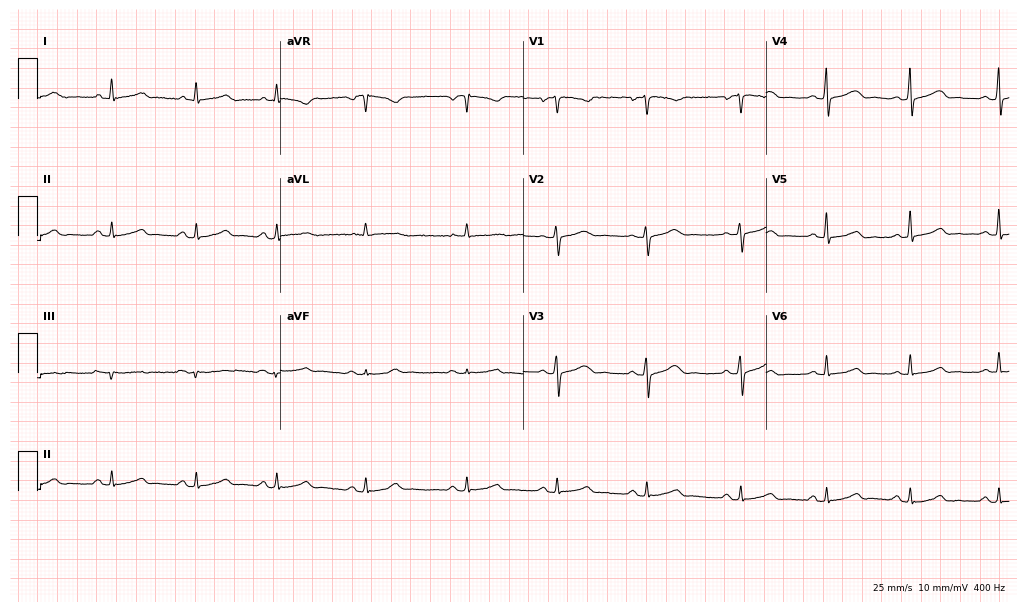
Resting 12-lead electrocardiogram (9.9-second recording at 400 Hz). Patient: a 37-year-old female. Read as a normal ECG.